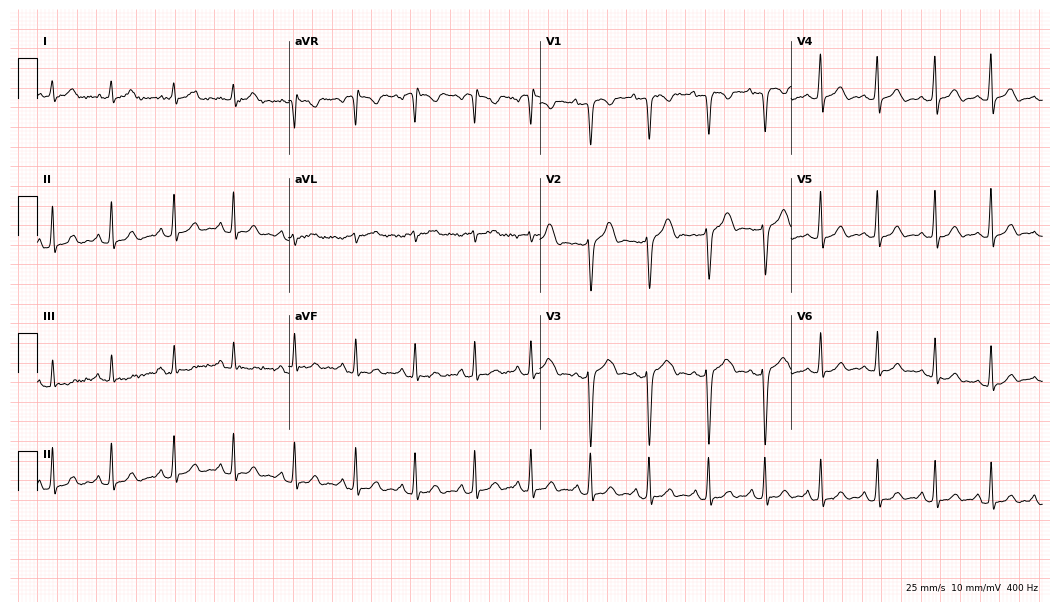
ECG — a 30-year-old female patient. Findings include sinus tachycardia (a sinus rate of 100 beats per minute or more).